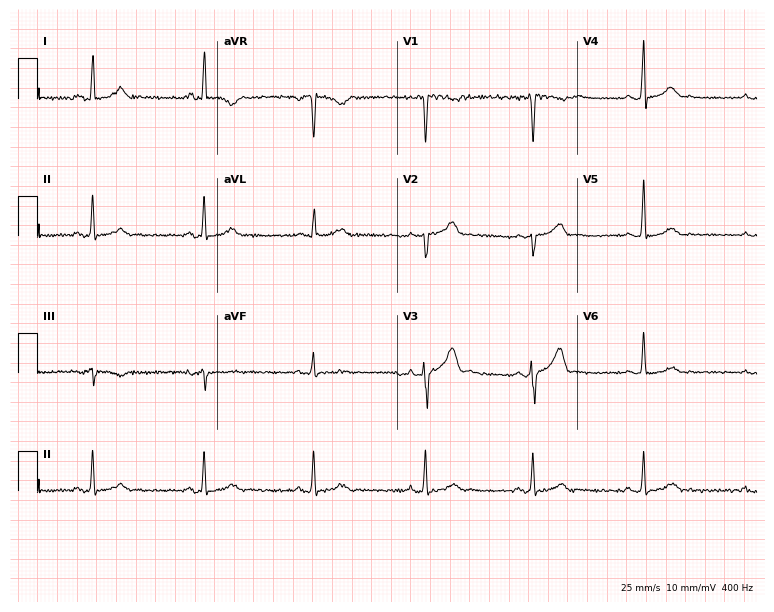
12-lead ECG from a 41-year-old man (7.3-second recording at 400 Hz). Recorded interpretation: within normal limits.